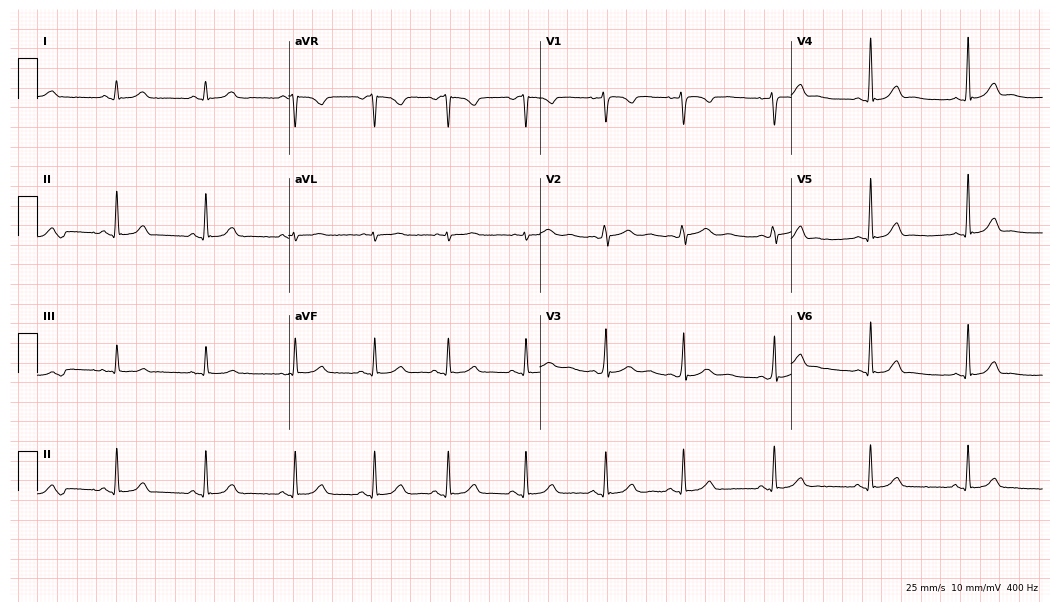
12-lead ECG from a female, 19 years old (10.2-second recording at 400 Hz). No first-degree AV block, right bundle branch block (RBBB), left bundle branch block (LBBB), sinus bradycardia, atrial fibrillation (AF) or sinus tachycardia recorded for this tracing.